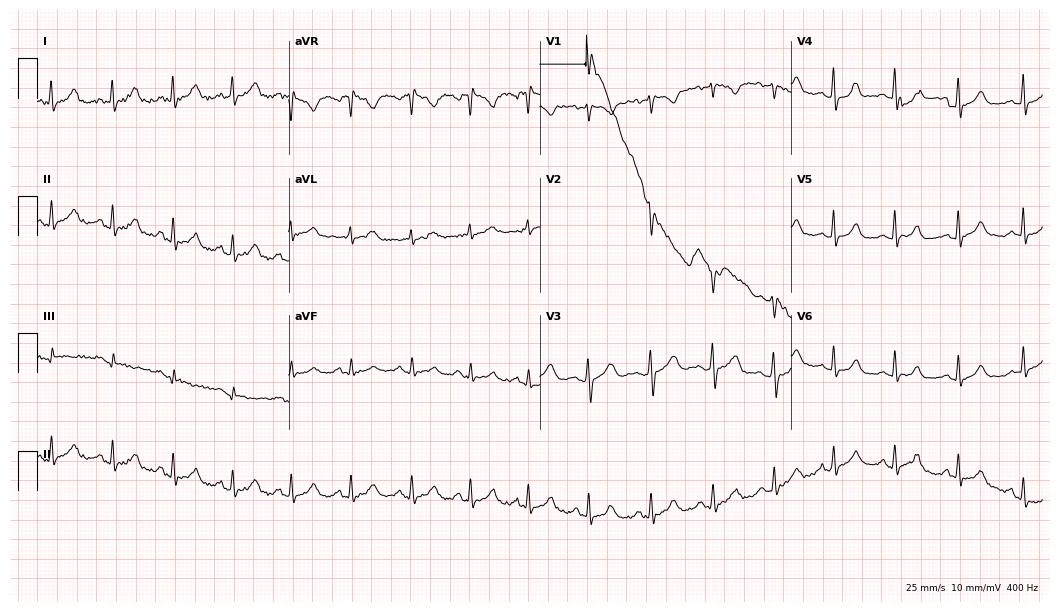
ECG (10.2-second recording at 400 Hz) — a female, 21 years old. Labelled as a normal ECG.